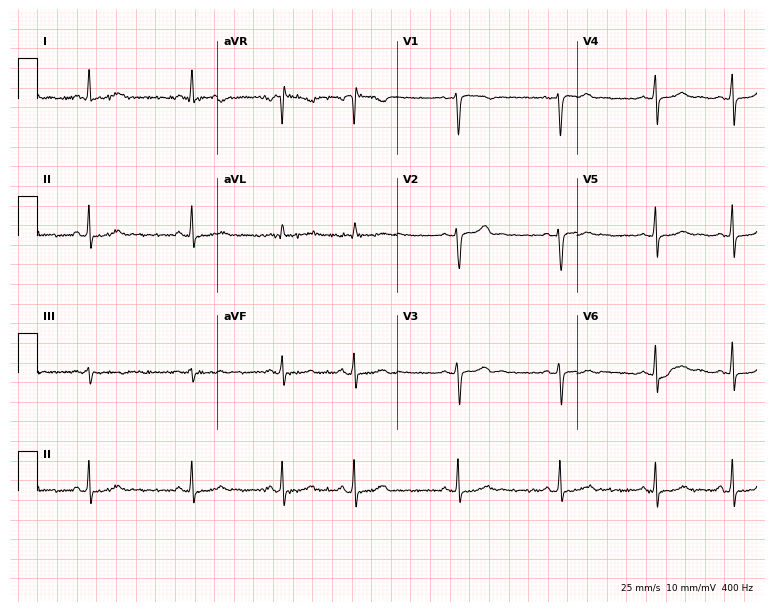
12-lead ECG (7.3-second recording at 400 Hz) from a woman, 21 years old. Labelled as a normal ECG.